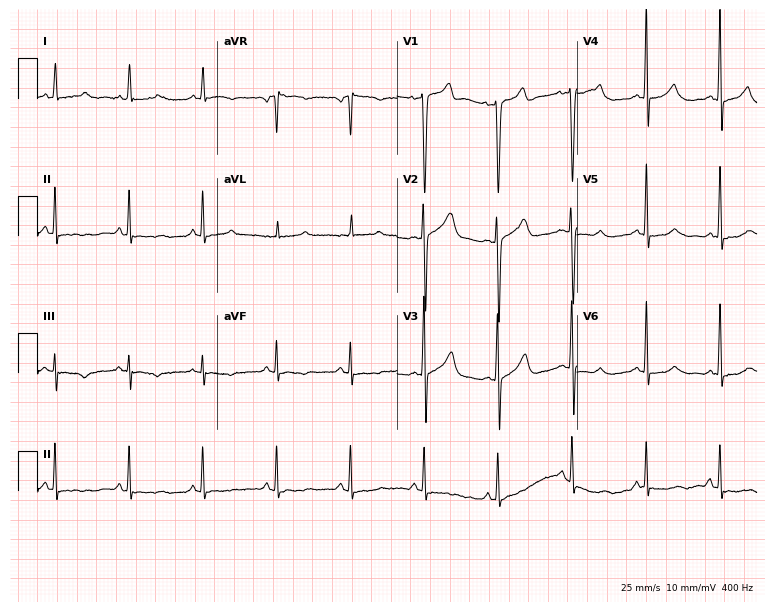
Electrocardiogram (7.3-second recording at 400 Hz), a male, 79 years old. Overall reading on record: normal ECG.